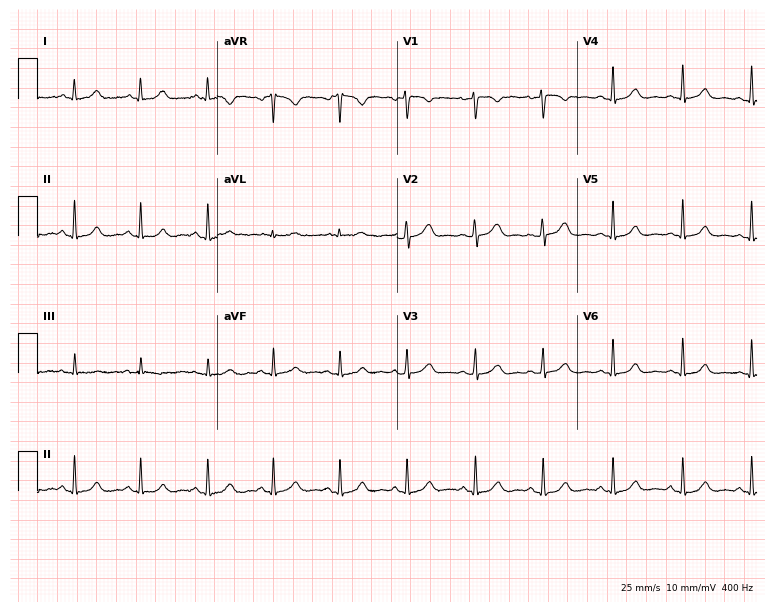
Standard 12-lead ECG recorded from a female, 49 years old. None of these six findings is recorded: first-degree AV block, right bundle branch block (RBBB), left bundle branch block (LBBB), sinus bradycardia, atrial fibrillation (AF), sinus tachycardia.